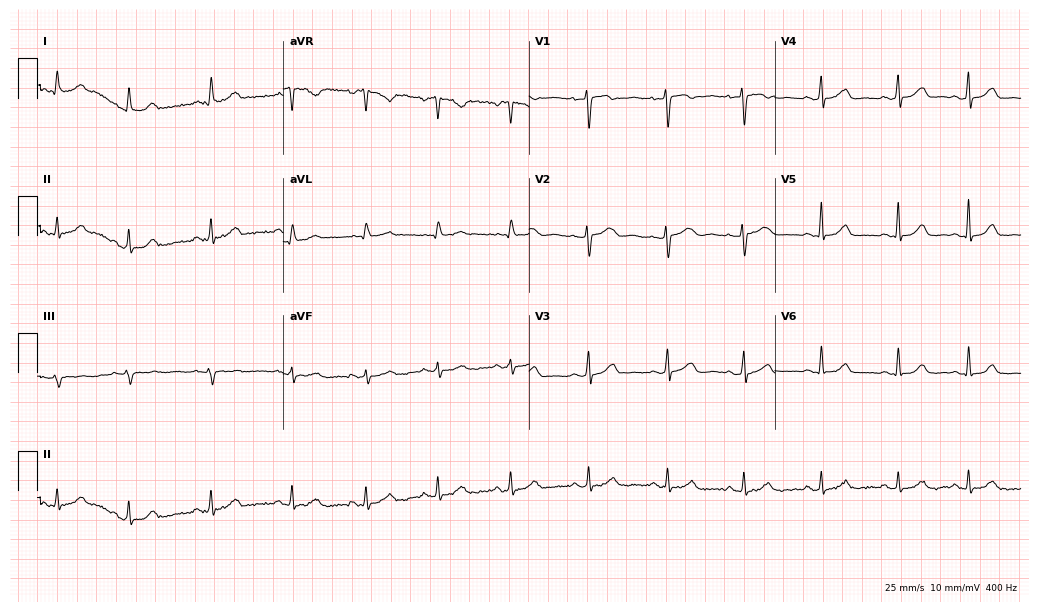
12-lead ECG (10-second recording at 400 Hz) from a 32-year-old woman. Labelled as a normal ECG.